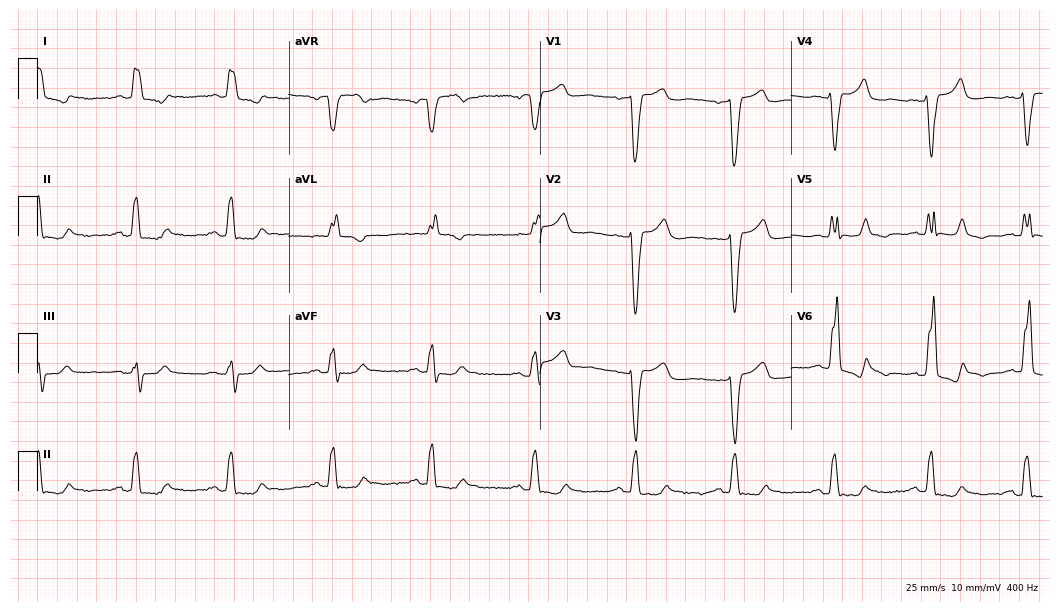
12-lead ECG from a woman, 81 years old. No first-degree AV block, right bundle branch block (RBBB), left bundle branch block (LBBB), sinus bradycardia, atrial fibrillation (AF) or sinus tachycardia recorded for this tracing.